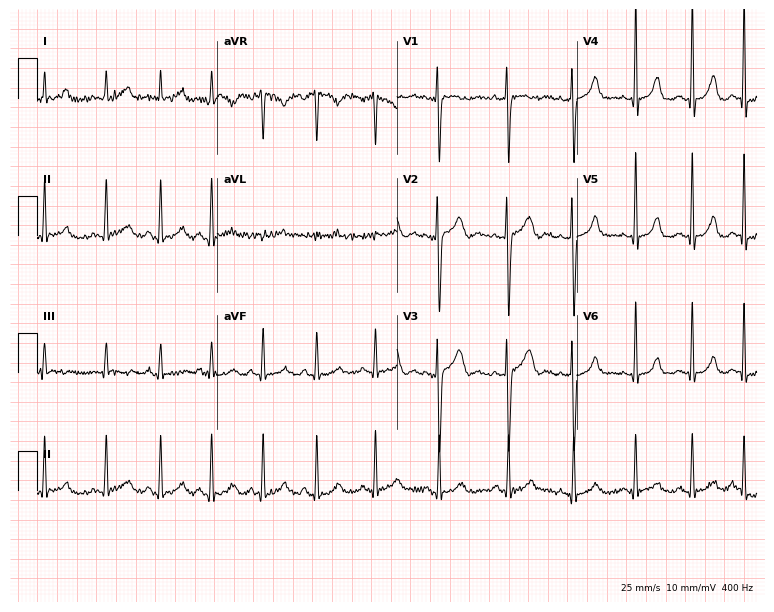
Standard 12-lead ECG recorded from a woman, 22 years old (7.3-second recording at 400 Hz). None of these six findings is recorded: first-degree AV block, right bundle branch block (RBBB), left bundle branch block (LBBB), sinus bradycardia, atrial fibrillation (AF), sinus tachycardia.